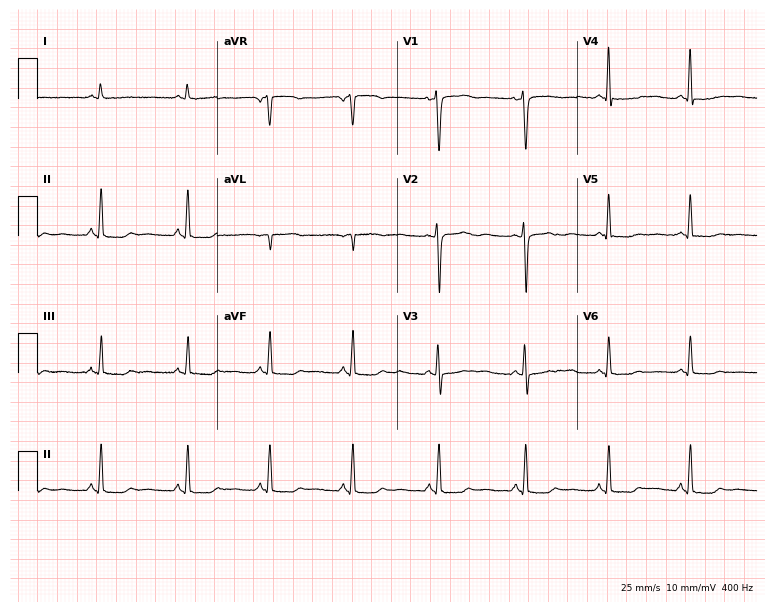
12-lead ECG from a woman, 44 years old. Screened for six findings — first-degree AV block, right bundle branch block, left bundle branch block, sinus bradycardia, atrial fibrillation, sinus tachycardia — none is recorded. Only these six findings were labelled.